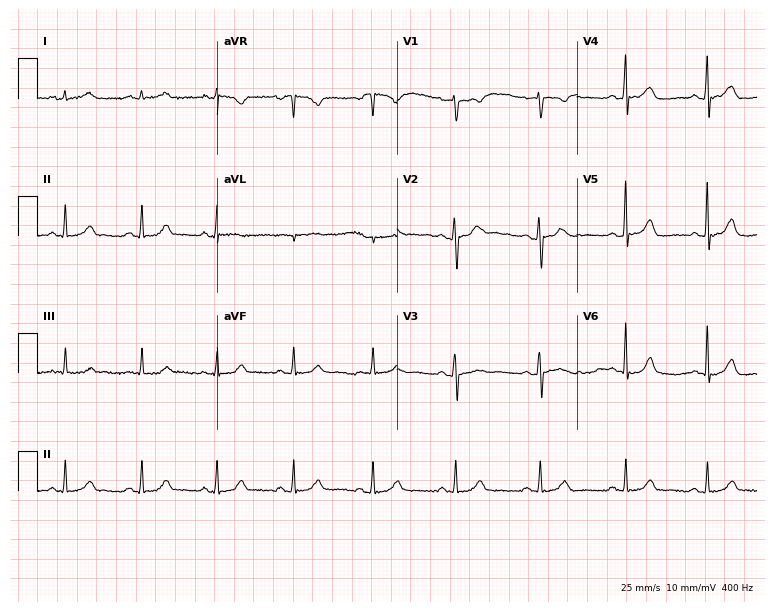
12-lead ECG (7.3-second recording at 400 Hz) from a female patient, 39 years old. Labelled as a normal ECG.